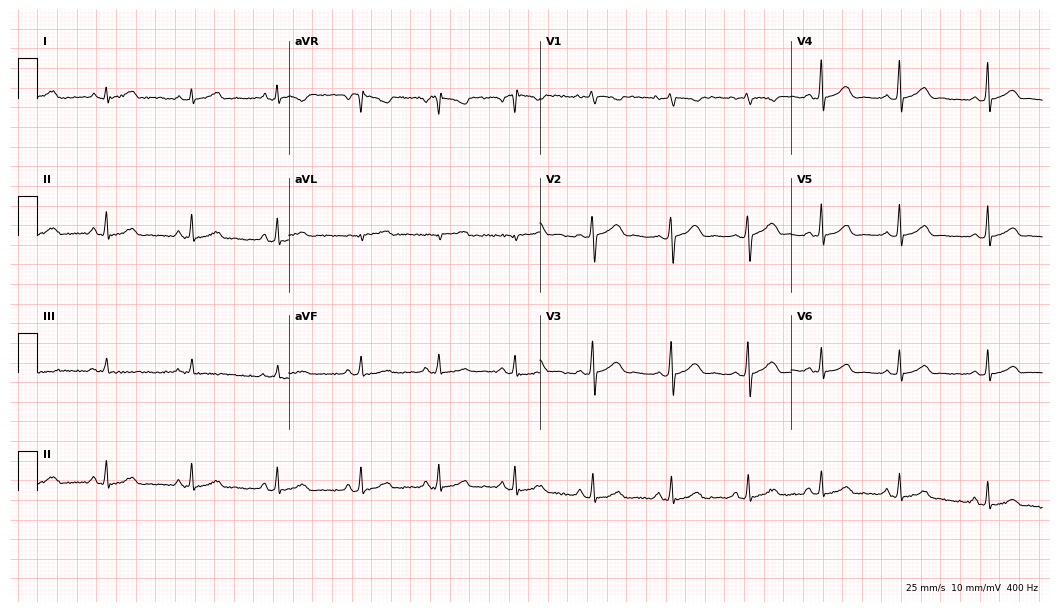
Standard 12-lead ECG recorded from an 18-year-old woman. Read as a normal ECG.